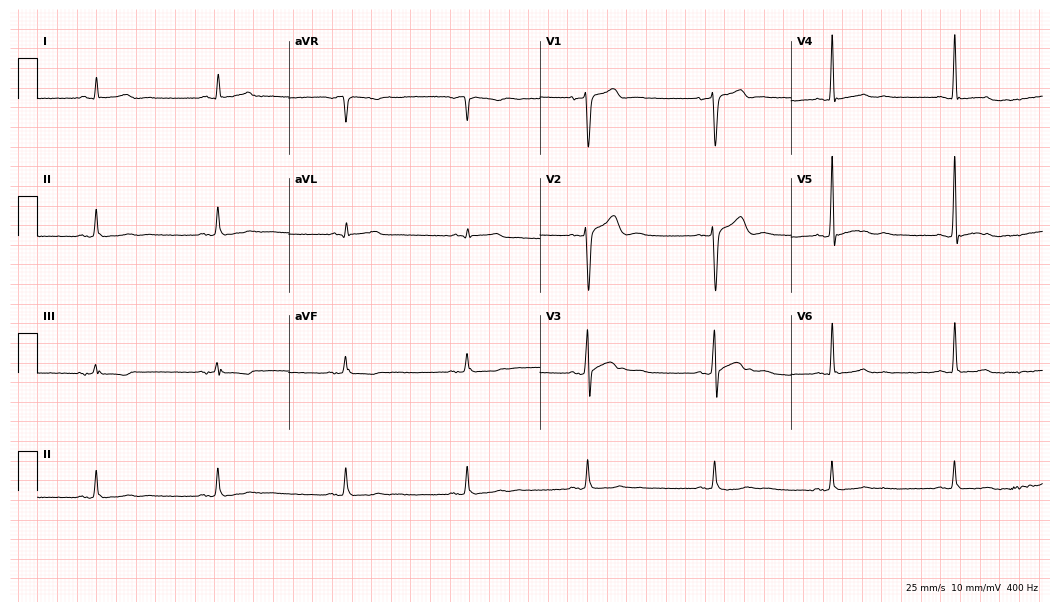
12-lead ECG from a 35-year-old male. Shows sinus bradycardia (a sinus rate of 50 beats per minute or less).